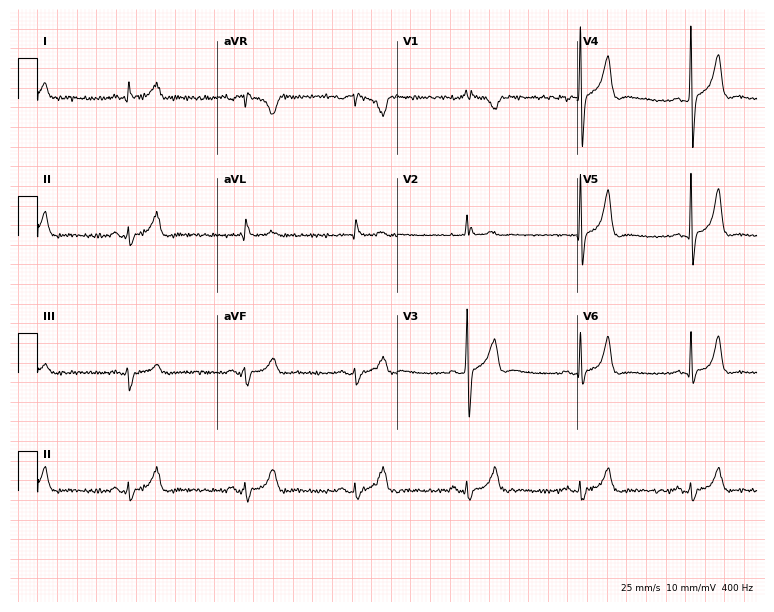
Resting 12-lead electrocardiogram. Patient: a 44-year-old man. None of these six findings is recorded: first-degree AV block, right bundle branch block, left bundle branch block, sinus bradycardia, atrial fibrillation, sinus tachycardia. Only these six findings were labelled.